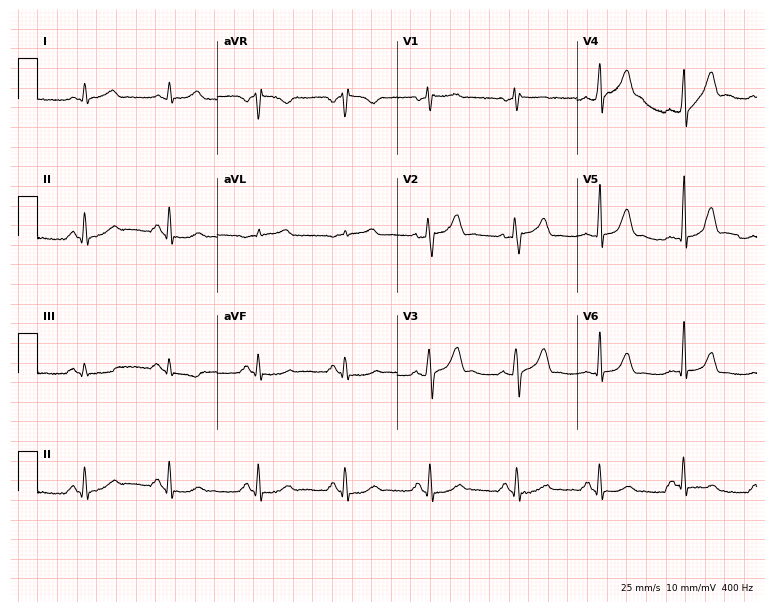
Electrocardiogram, a male patient, 54 years old. Overall reading on record: normal ECG.